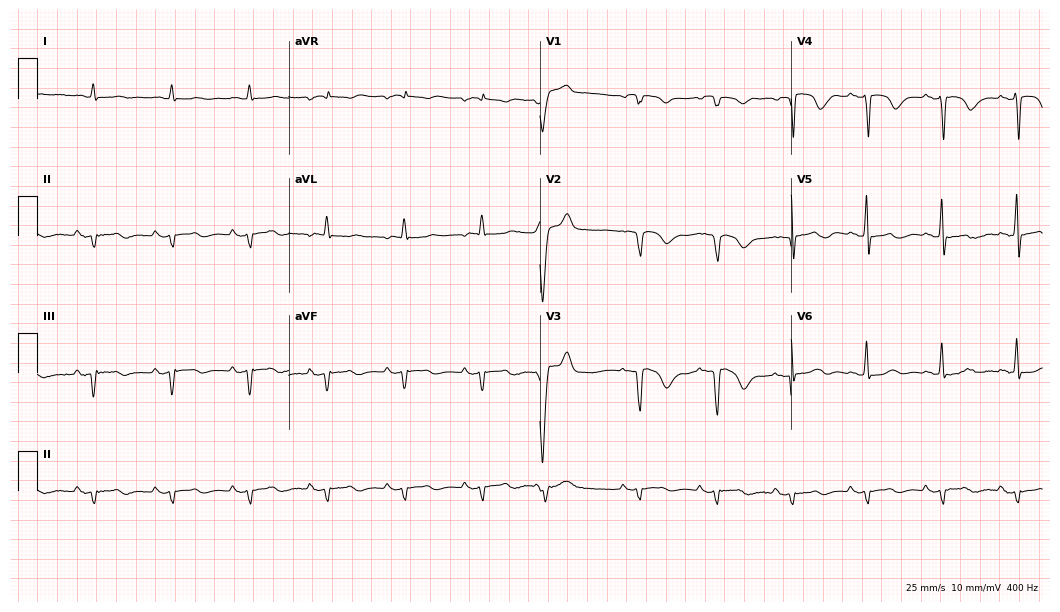
Standard 12-lead ECG recorded from a woman, 82 years old. None of these six findings is recorded: first-degree AV block, right bundle branch block (RBBB), left bundle branch block (LBBB), sinus bradycardia, atrial fibrillation (AF), sinus tachycardia.